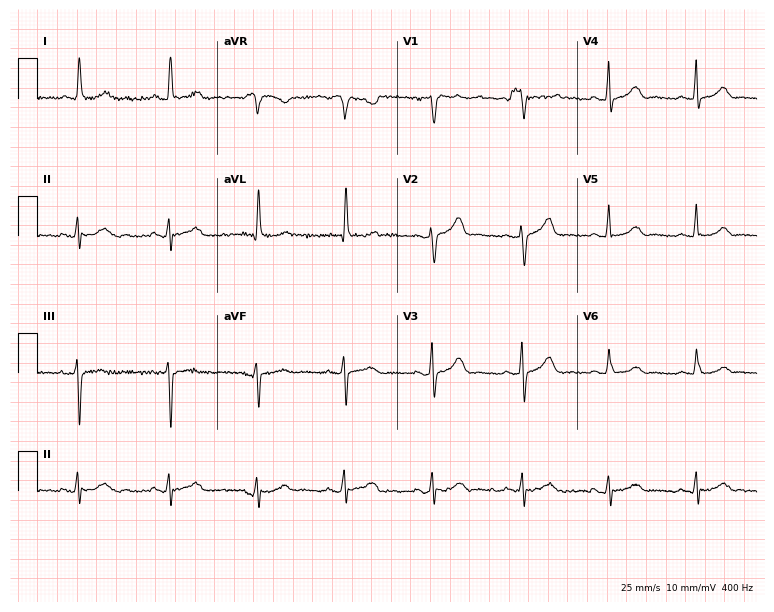
Resting 12-lead electrocardiogram (7.3-second recording at 400 Hz). Patient: a 51-year-old female. Read as a normal ECG.